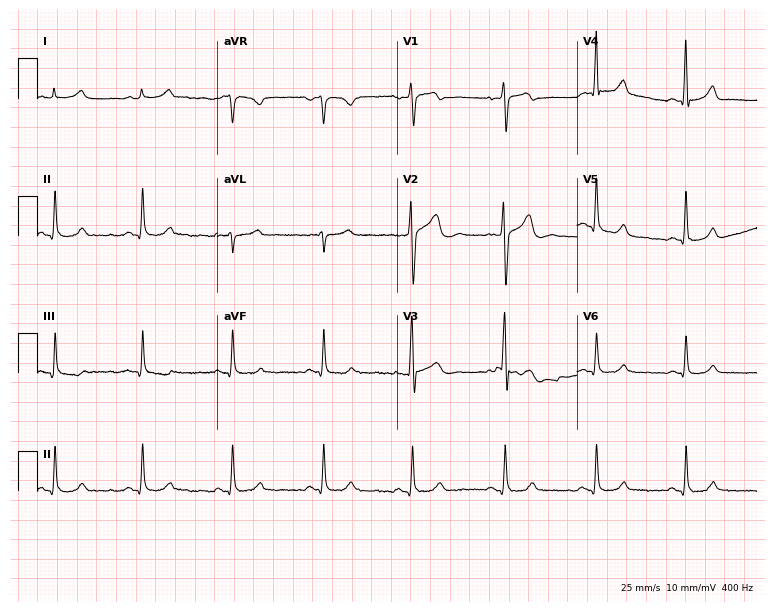
Standard 12-lead ECG recorded from a 37-year-old man. Read as a normal ECG.